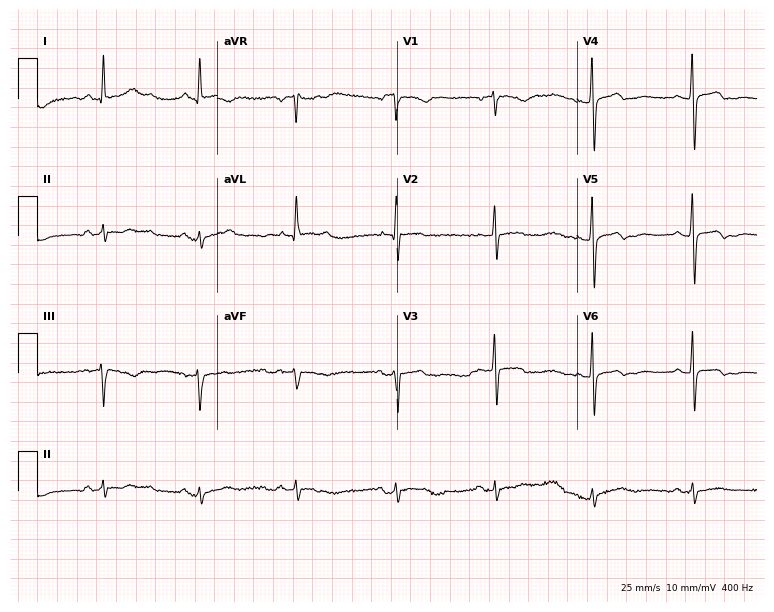
12-lead ECG from a 79-year-old woman. Screened for six findings — first-degree AV block, right bundle branch block, left bundle branch block, sinus bradycardia, atrial fibrillation, sinus tachycardia — none is recorded.